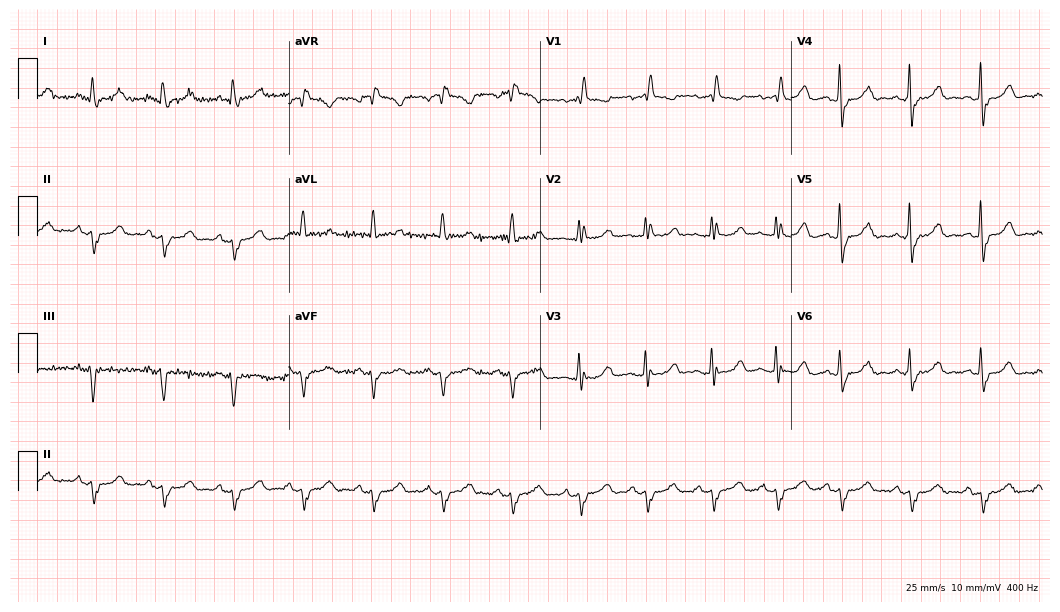
Standard 12-lead ECG recorded from a female, 77 years old (10.2-second recording at 400 Hz). The tracing shows right bundle branch block (RBBB).